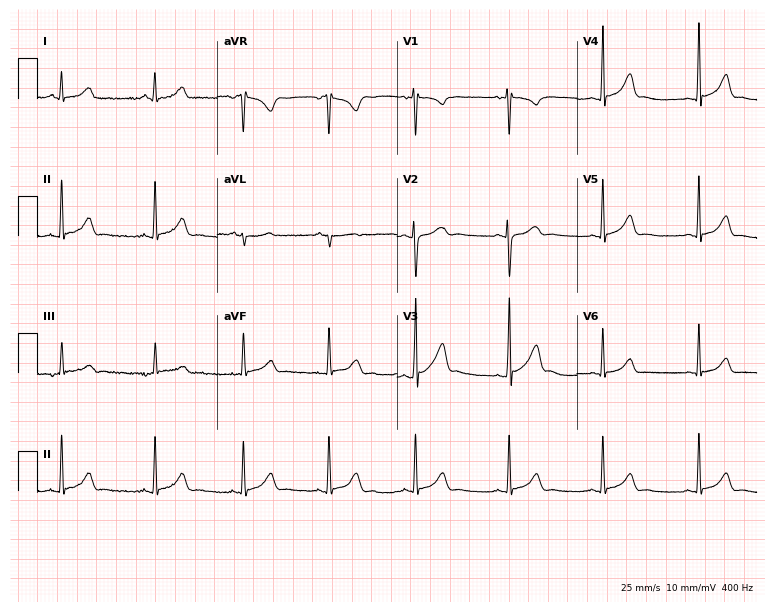
12-lead ECG (7.3-second recording at 400 Hz) from a female, 17 years old. Labelled as a normal ECG.